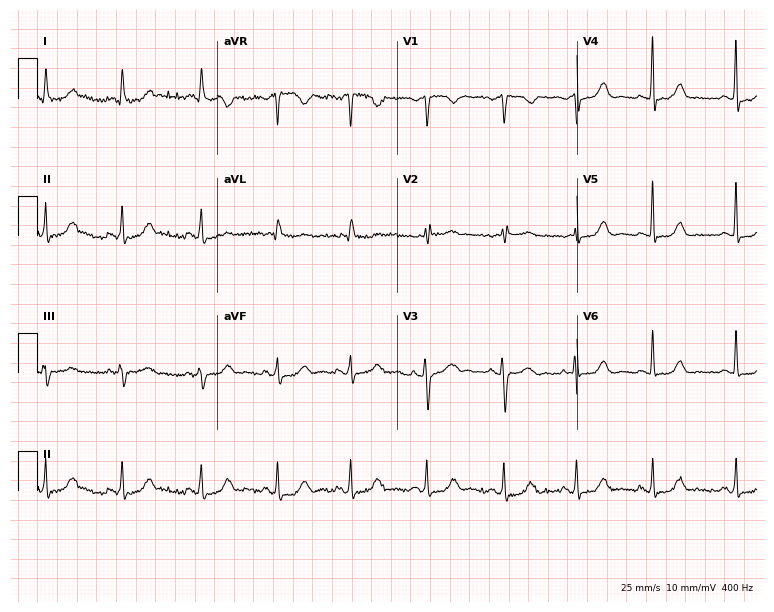
Electrocardiogram, a 40-year-old woman. Of the six screened findings (first-degree AV block, right bundle branch block (RBBB), left bundle branch block (LBBB), sinus bradycardia, atrial fibrillation (AF), sinus tachycardia), none is recorded.